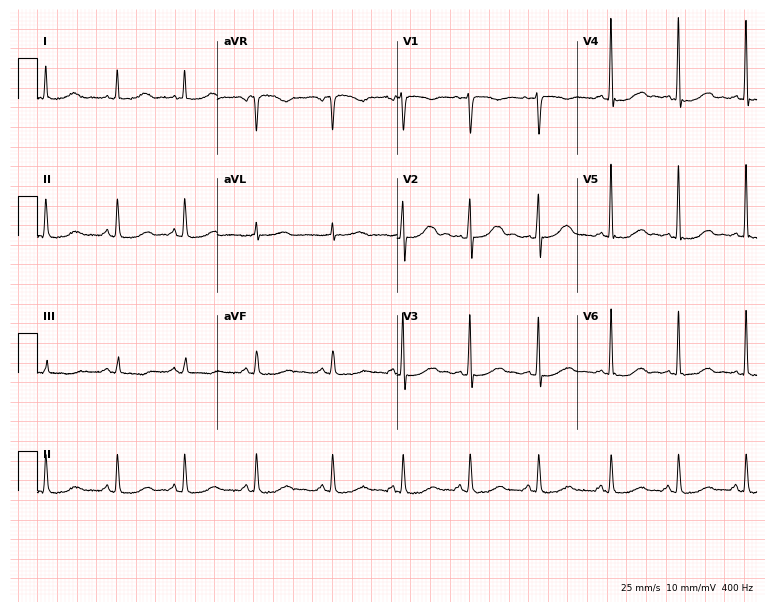
Standard 12-lead ECG recorded from a 46-year-old woman. None of these six findings is recorded: first-degree AV block, right bundle branch block (RBBB), left bundle branch block (LBBB), sinus bradycardia, atrial fibrillation (AF), sinus tachycardia.